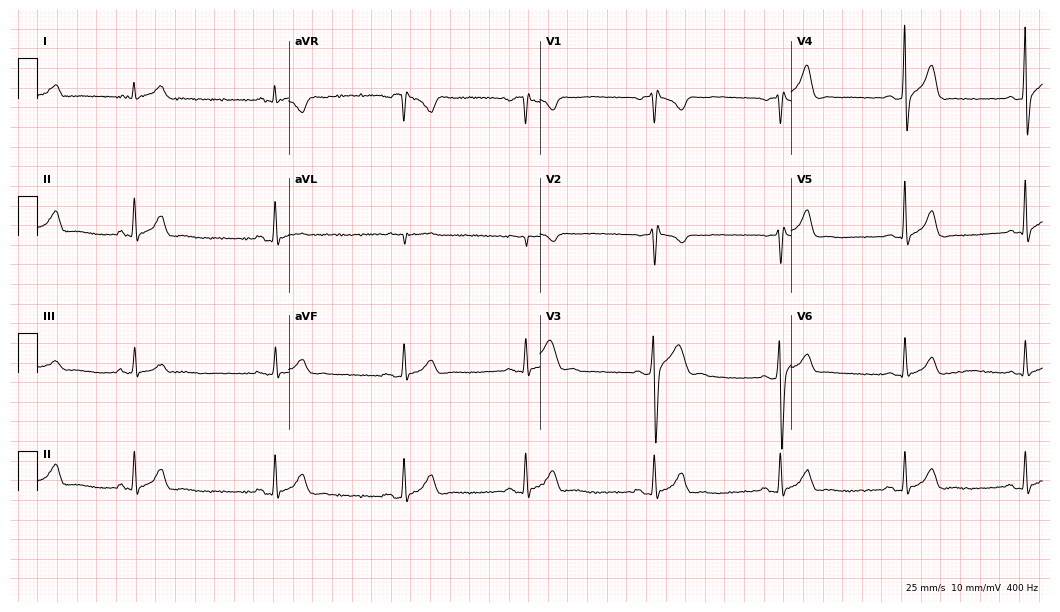
12-lead ECG from a man, 32 years old (10.2-second recording at 400 Hz). No first-degree AV block, right bundle branch block, left bundle branch block, sinus bradycardia, atrial fibrillation or sinus tachycardia recorded for this tracing. Only these six findings were labelled.